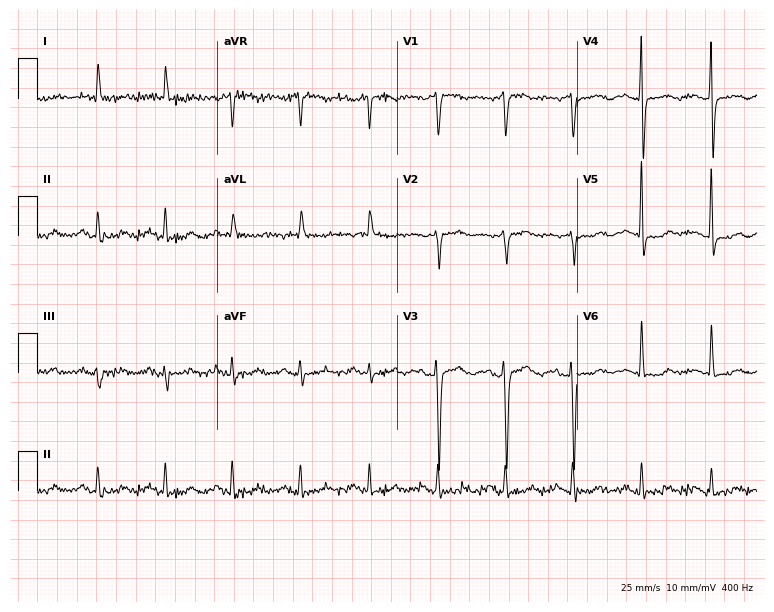
12-lead ECG from a 79-year-old female patient. No first-degree AV block, right bundle branch block, left bundle branch block, sinus bradycardia, atrial fibrillation or sinus tachycardia recorded for this tracing.